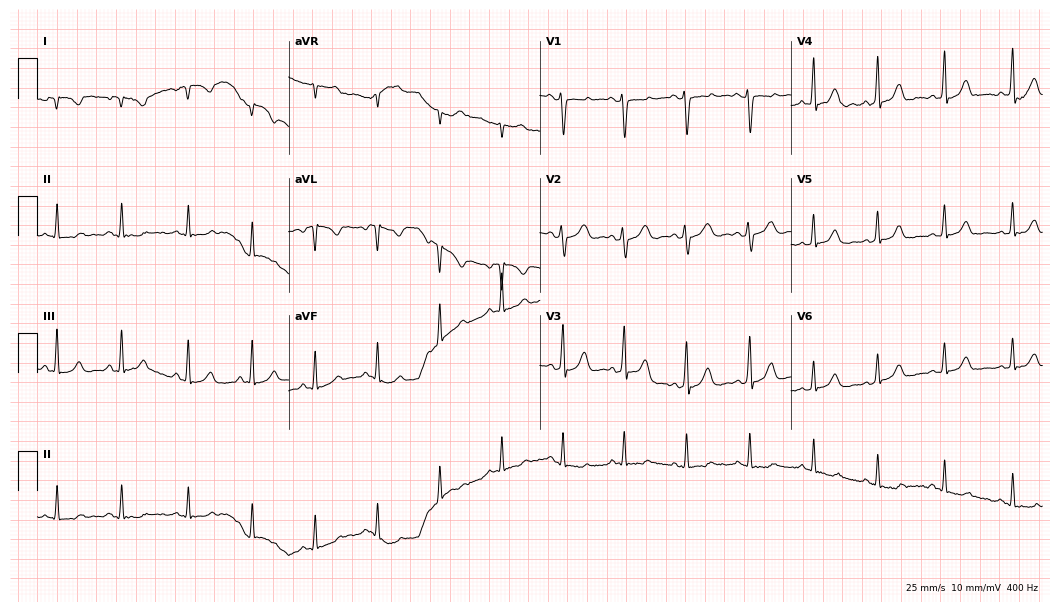
12-lead ECG from a 28-year-old female. Labelled as a normal ECG.